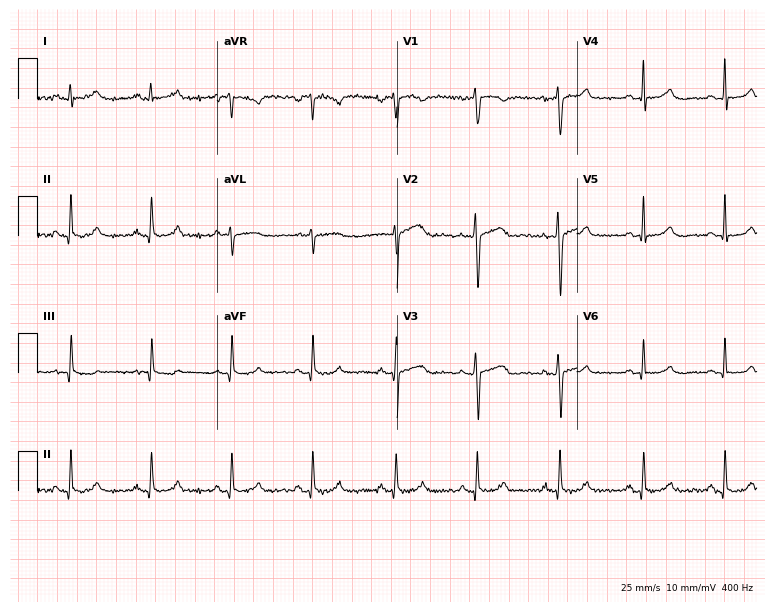
12-lead ECG (7.3-second recording at 400 Hz) from a woman, 35 years old. Screened for six findings — first-degree AV block, right bundle branch block, left bundle branch block, sinus bradycardia, atrial fibrillation, sinus tachycardia — none is recorded.